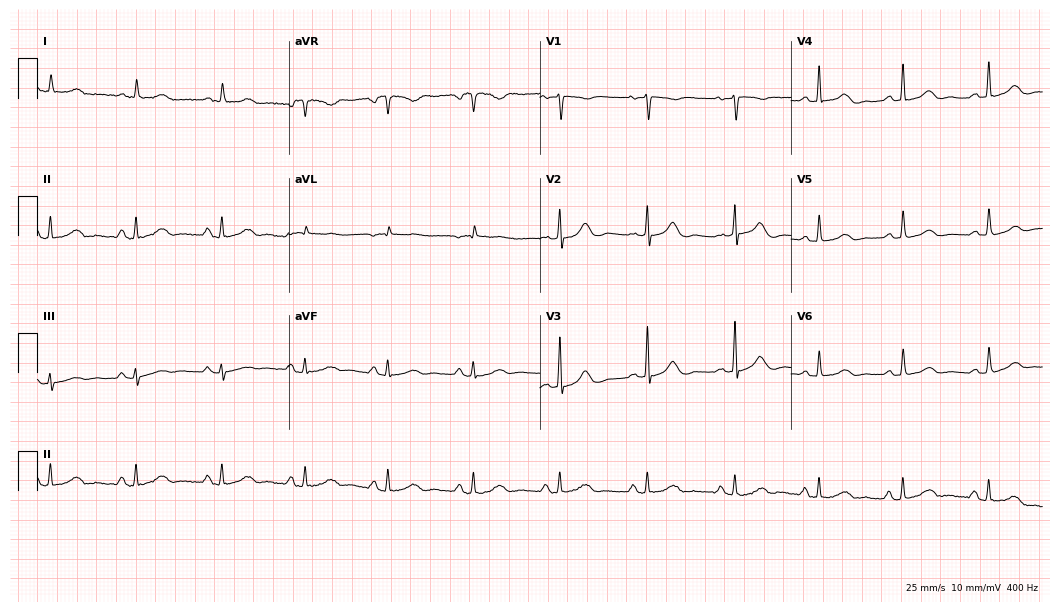
Electrocardiogram (10.2-second recording at 400 Hz), a woman, 83 years old. Of the six screened findings (first-degree AV block, right bundle branch block, left bundle branch block, sinus bradycardia, atrial fibrillation, sinus tachycardia), none is recorded. Other findings, if any, are not listed.